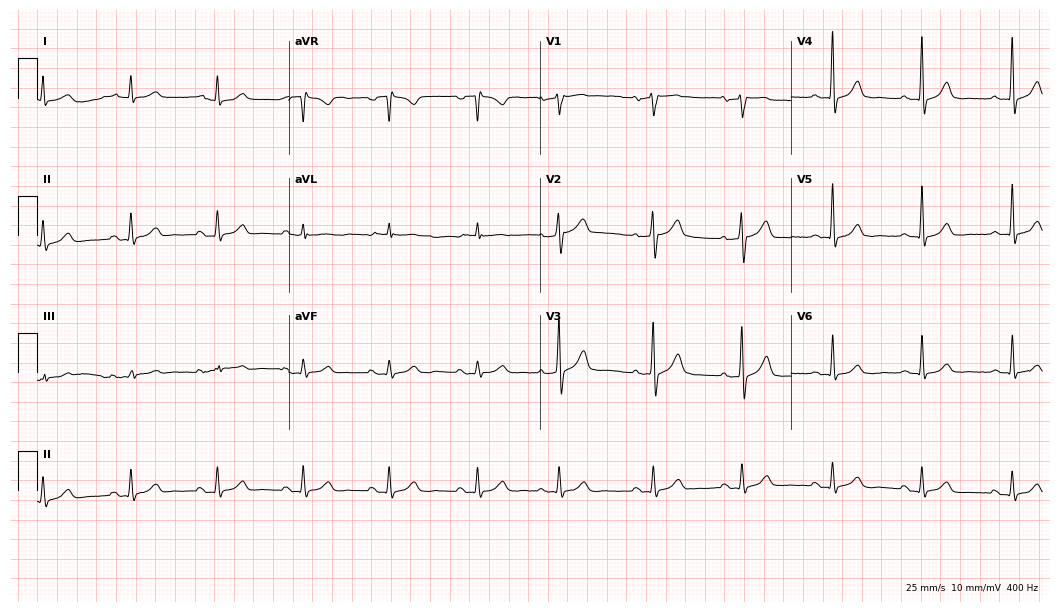
Electrocardiogram, a man, 68 years old. Overall reading on record: normal ECG.